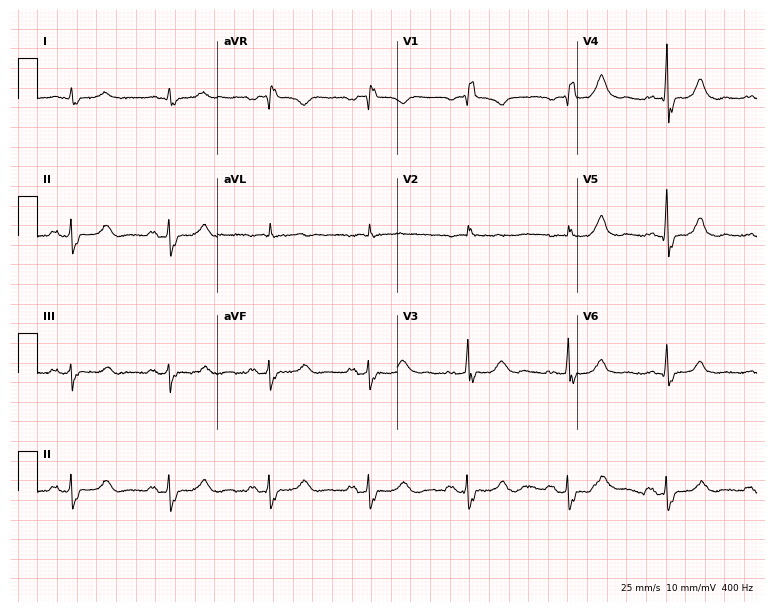
Resting 12-lead electrocardiogram (7.3-second recording at 400 Hz). Patient: a male, 58 years old. The tracing shows right bundle branch block.